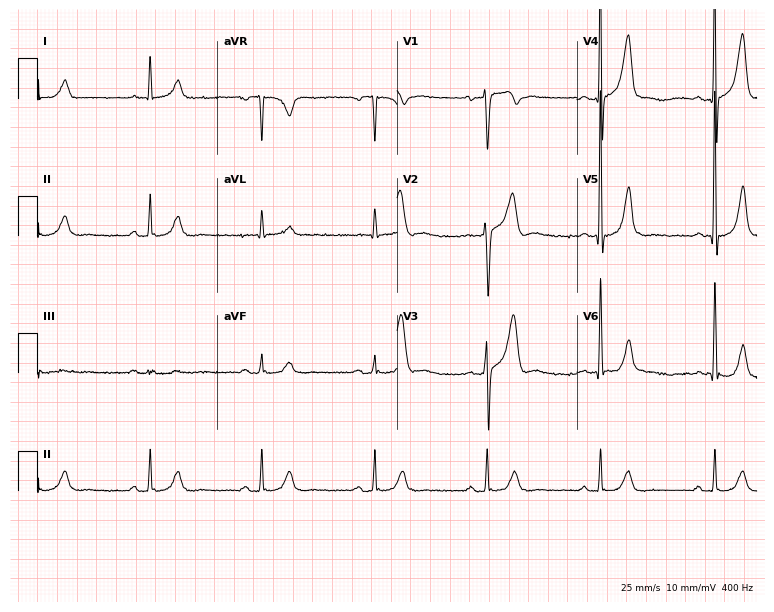
Standard 12-lead ECG recorded from a man, 56 years old (7.3-second recording at 400 Hz). None of these six findings is recorded: first-degree AV block, right bundle branch block, left bundle branch block, sinus bradycardia, atrial fibrillation, sinus tachycardia. Findings outside these six are not listed.